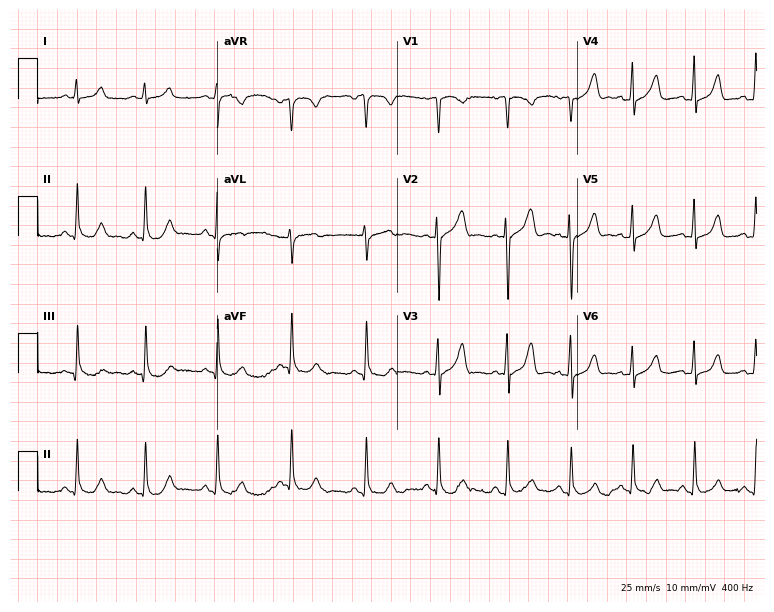
Electrocardiogram, a female patient, 21 years old. Overall reading on record: normal ECG.